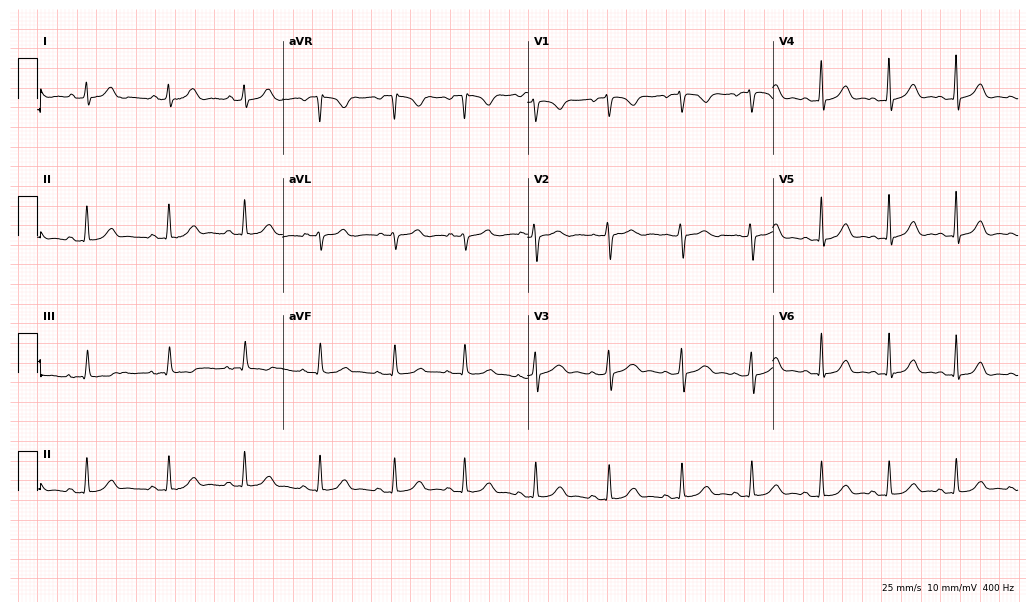
Standard 12-lead ECG recorded from a 21-year-old female. Read as a normal ECG.